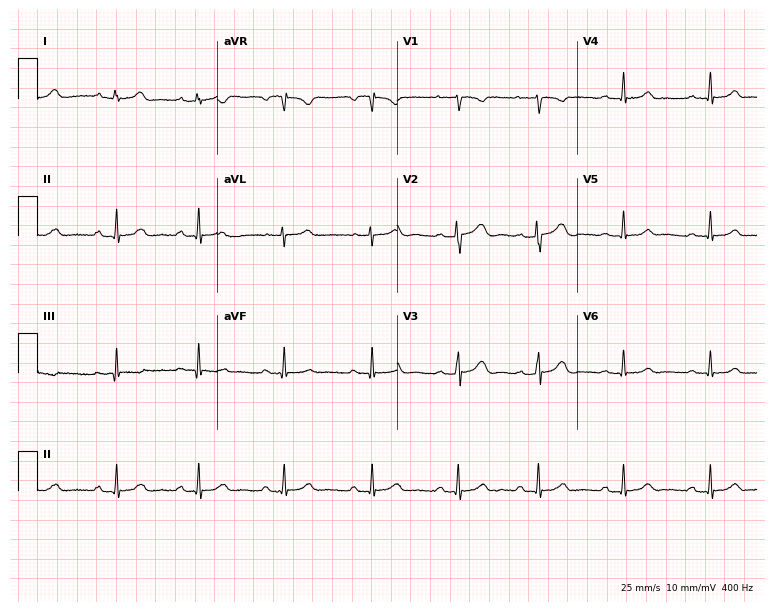
12-lead ECG (7.3-second recording at 400 Hz) from a 25-year-old female patient. Labelled as a normal ECG.